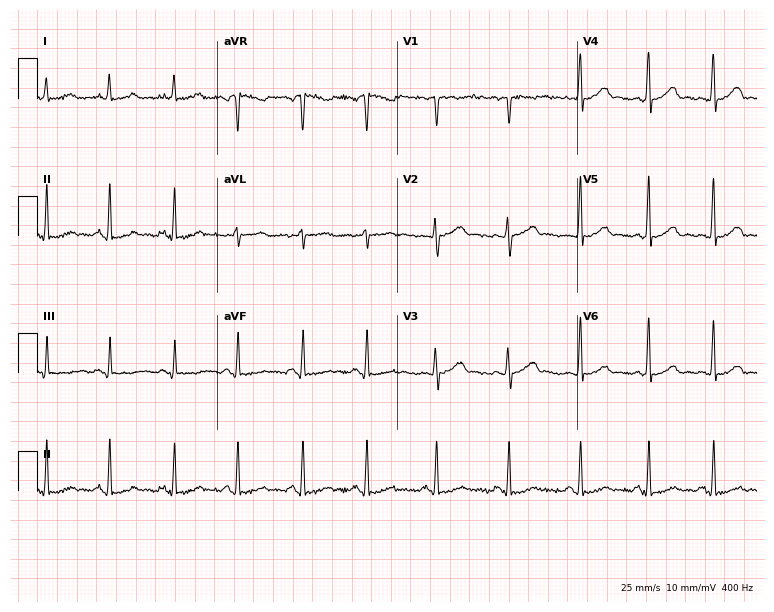
ECG (7.3-second recording at 400 Hz) — a 23-year-old female. Labelled as a normal ECG.